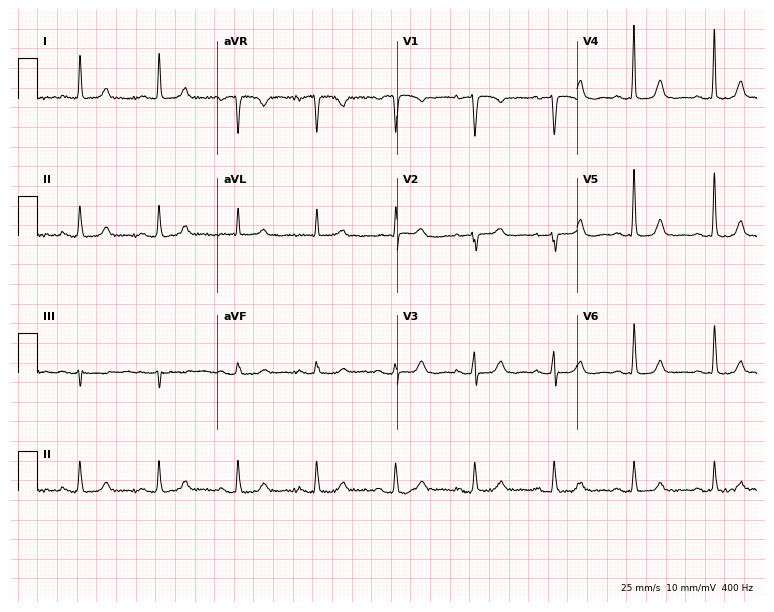
12-lead ECG from a female patient, 79 years old. Screened for six findings — first-degree AV block, right bundle branch block, left bundle branch block, sinus bradycardia, atrial fibrillation, sinus tachycardia — none is recorded.